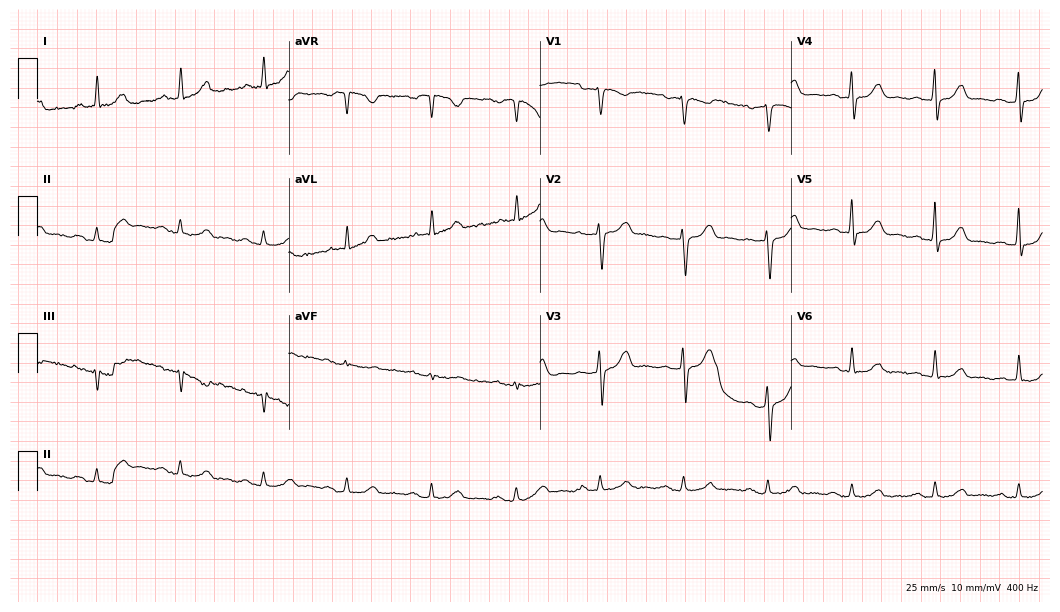
Standard 12-lead ECG recorded from a man, 73 years old. Read as a normal ECG.